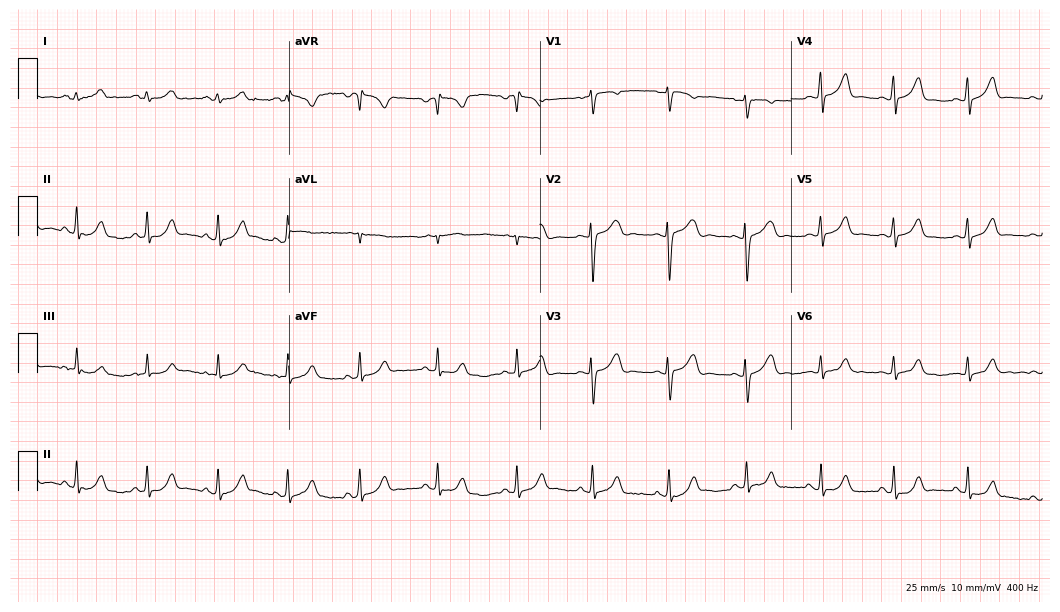
Resting 12-lead electrocardiogram. Patient: a 22-year-old woman. Read as a normal ECG.